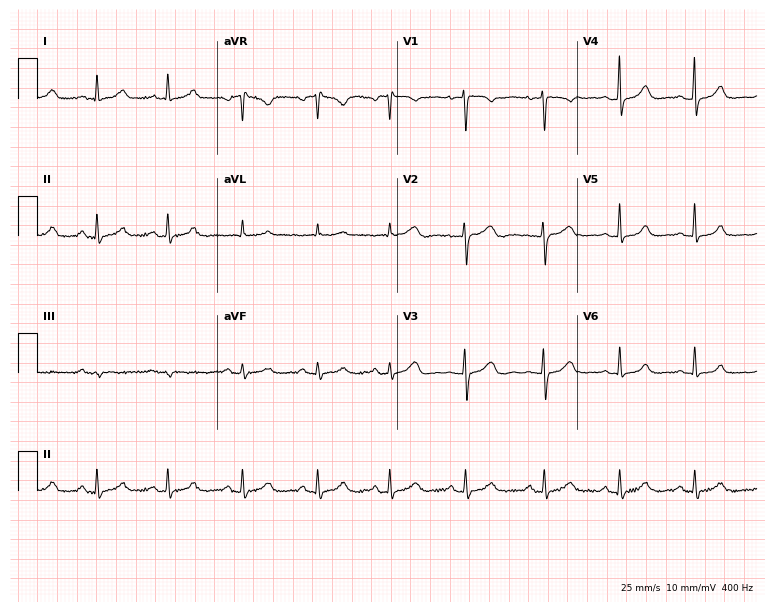
12-lead ECG from a female, 45 years old. Recorded interpretation: within normal limits.